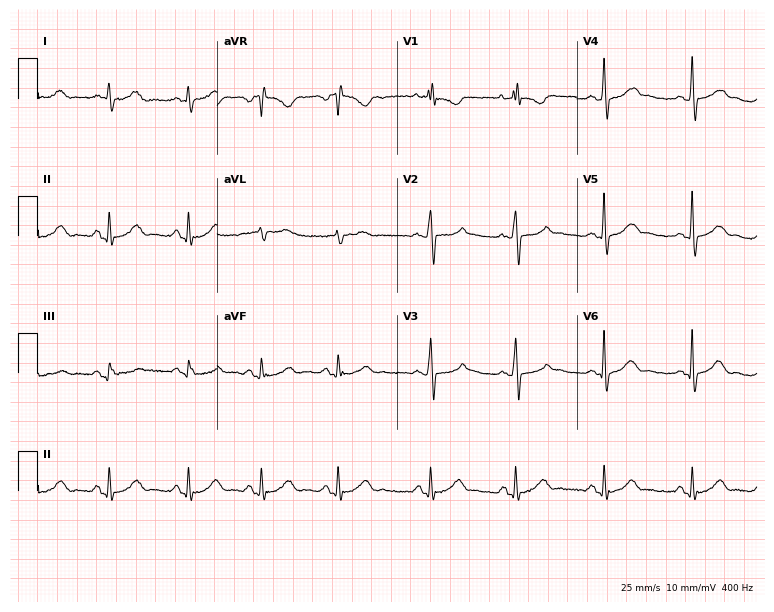
12-lead ECG from a female, 23 years old (7.3-second recording at 400 Hz). No first-degree AV block, right bundle branch block (RBBB), left bundle branch block (LBBB), sinus bradycardia, atrial fibrillation (AF) or sinus tachycardia recorded for this tracing.